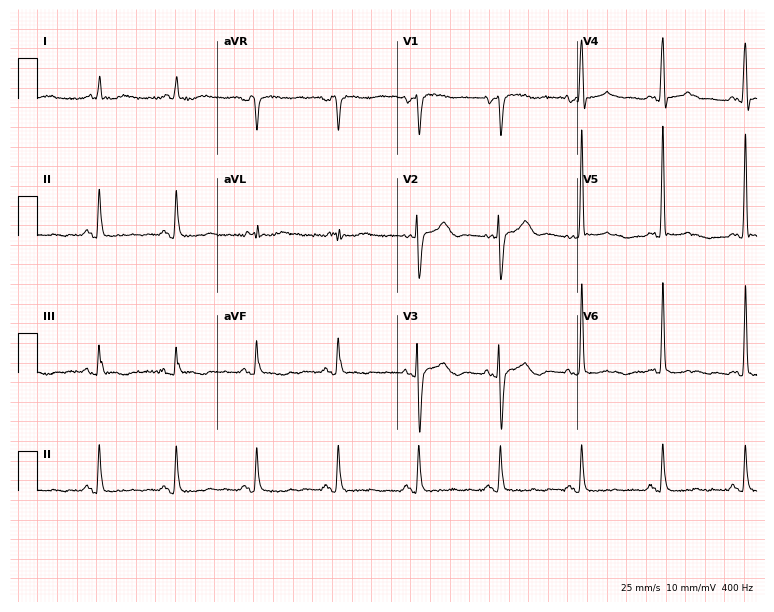
Standard 12-lead ECG recorded from an 83-year-old female patient. None of these six findings is recorded: first-degree AV block, right bundle branch block (RBBB), left bundle branch block (LBBB), sinus bradycardia, atrial fibrillation (AF), sinus tachycardia.